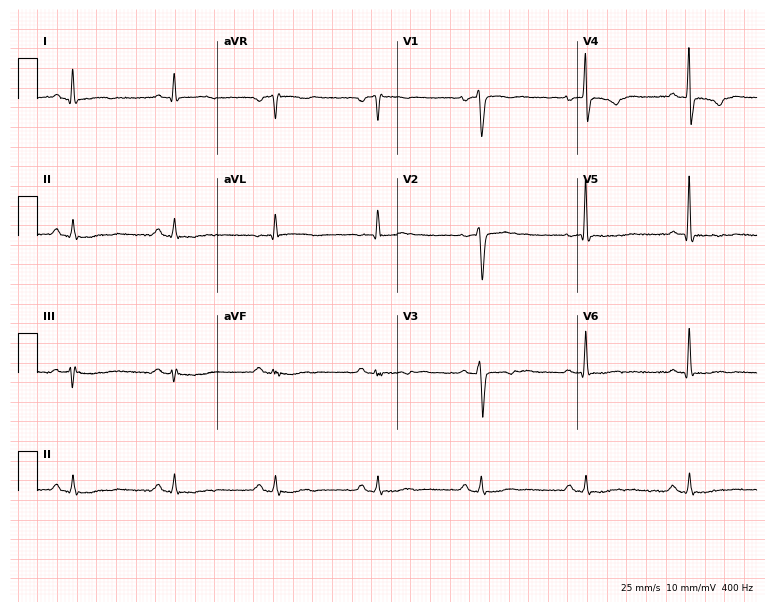
ECG — a man, 70 years old. Screened for six findings — first-degree AV block, right bundle branch block (RBBB), left bundle branch block (LBBB), sinus bradycardia, atrial fibrillation (AF), sinus tachycardia — none is recorded. Findings outside these six are not listed.